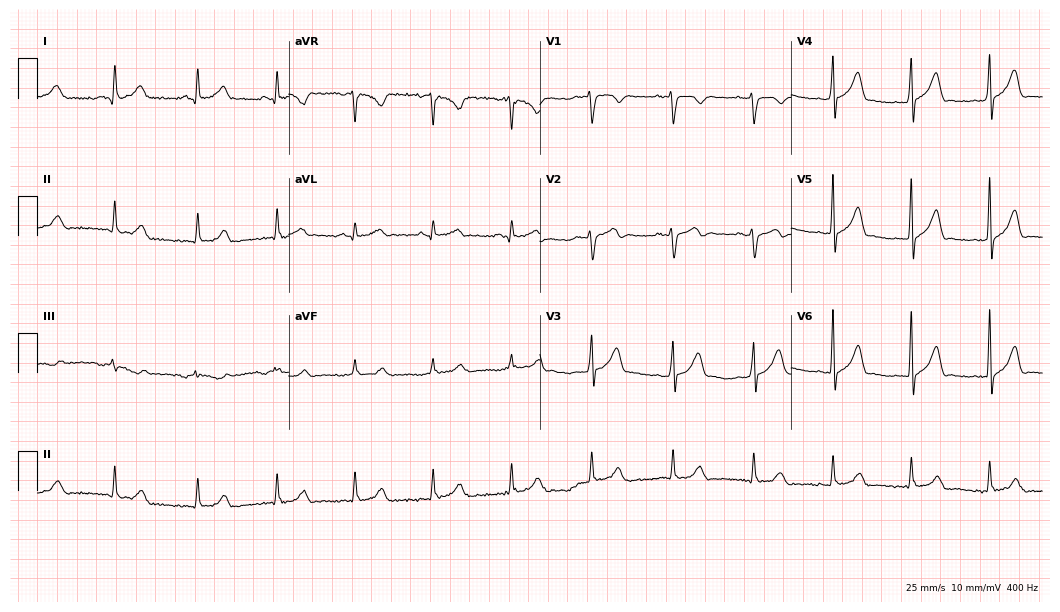
Standard 12-lead ECG recorded from a male patient, 46 years old. Read as a normal ECG.